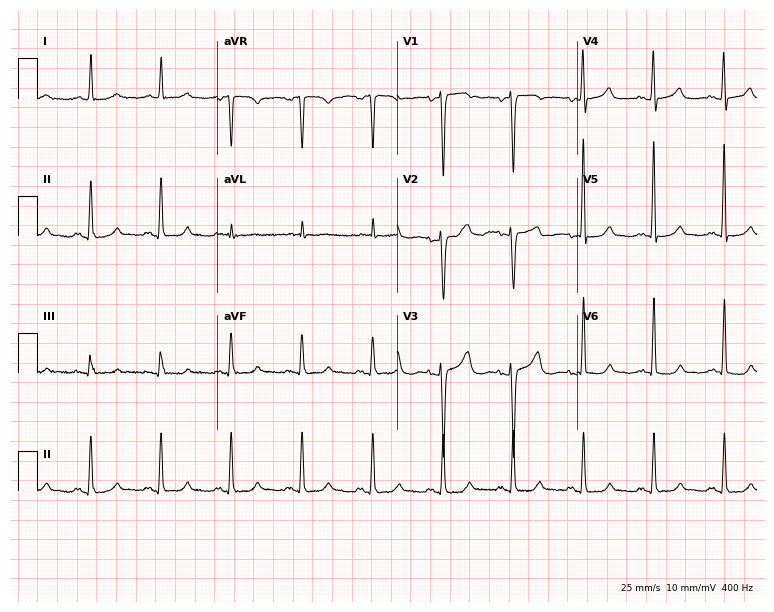
12-lead ECG from a female patient, 66 years old. No first-degree AV block, right bundle branch block (RBBB), left bundle branch block (LBBB), sinus bradycardia, atrial fibrillation (AF) or sinus tachycardia recorded for this tracing.